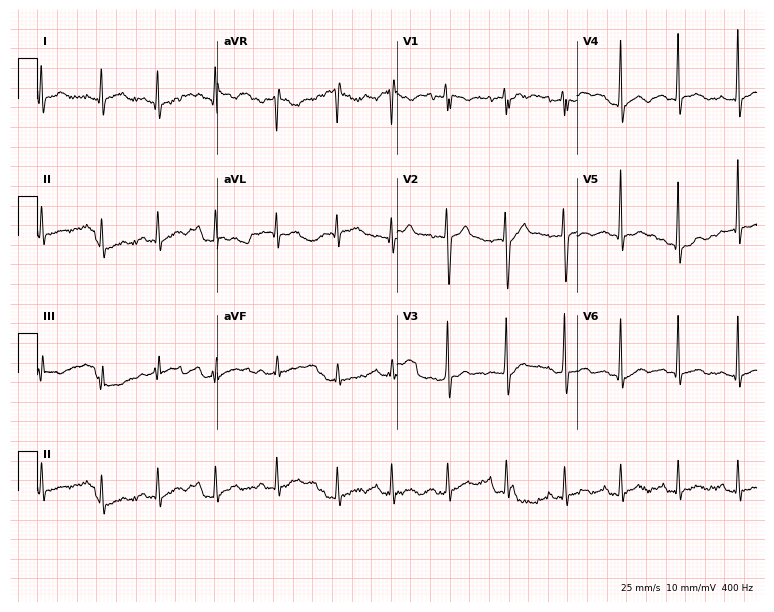
ECG — a 26-year-old man. Findings include sinus tachycardia (a sinus rate of 100 beats per minute or more).